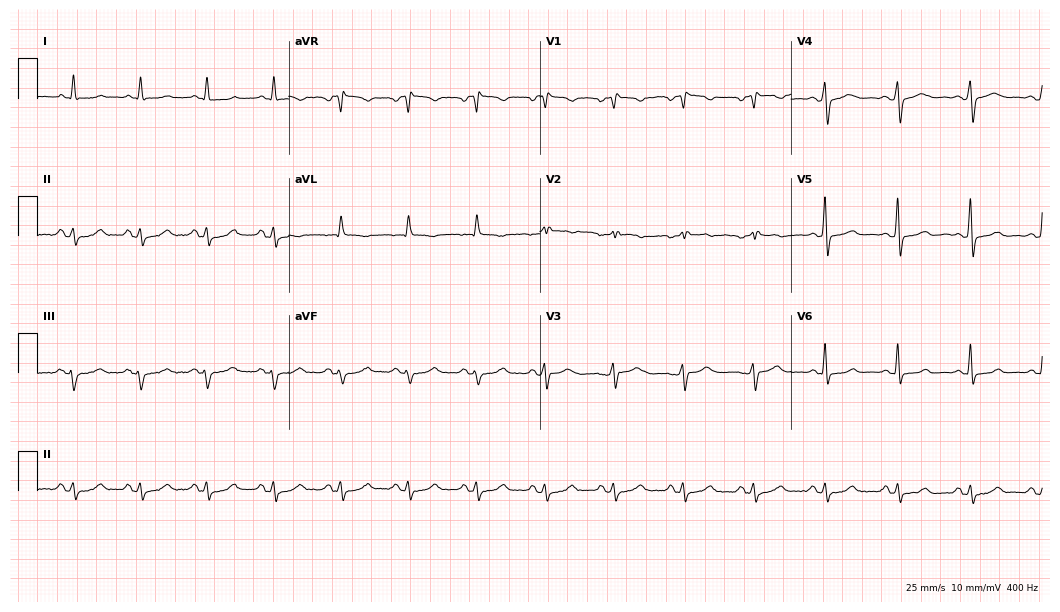
Electrocardiogram (10.2-second recording at 400 Hz), a woman, 58 years old. Of the six screened findings (first-degree AV block, right bundle branch block, left bundle branch block, sinus bradycardia, atrial fibrillation, sinus tachycardia), none is recorded.